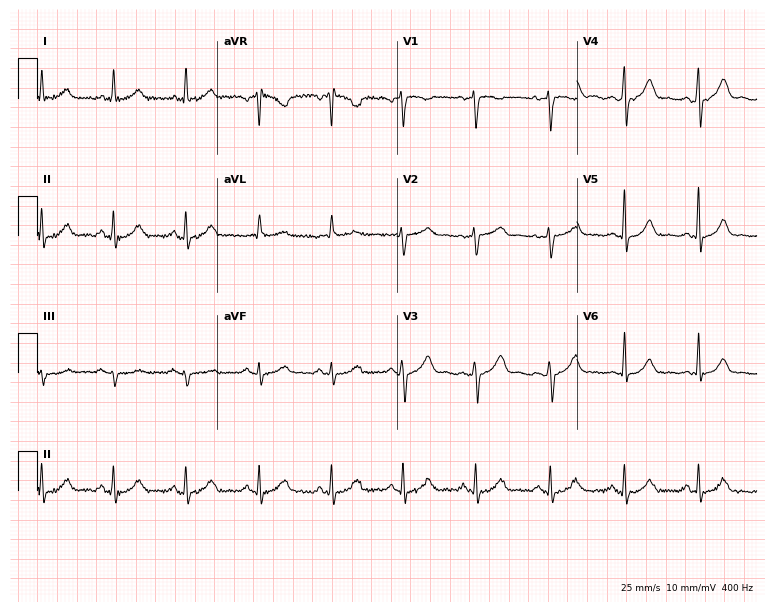
Electrocardiogram, a female, 51 years old. Of the six screened findings (first-degree AV block, right bundle branch block, left bundle branch block, sinus bradycardia, atrial fibrillation, sinus tachycardia), none is recorded.